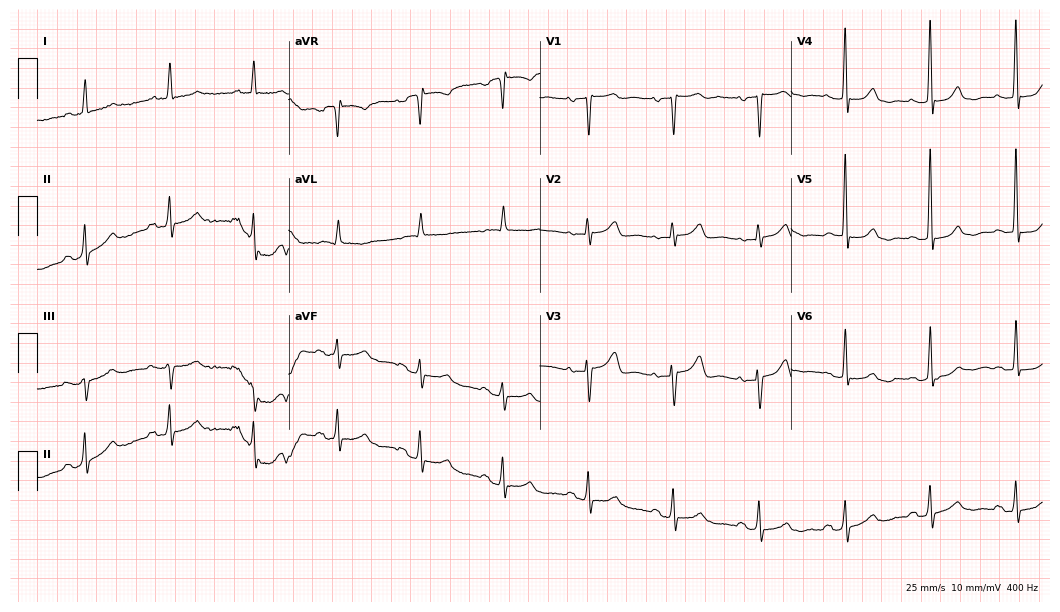
Electrocardiogram, a female patient, 85 years old. Of the six screened findings (first-degree AV block, right bundle branch block, left bundle branch block, sinus bradycardia, atrial fibrillation, sinus tachycardia), none is recorded.